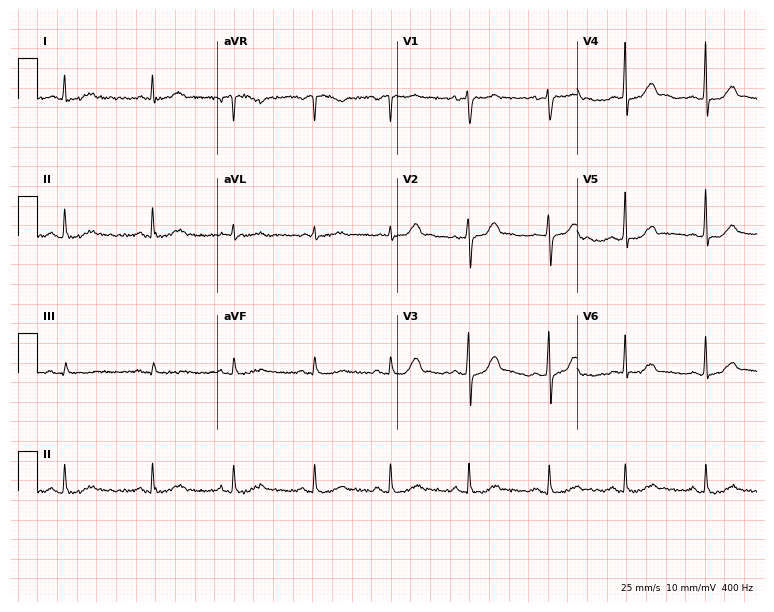
ECG — a female patient, 28 years old. Labelled as a normal ECG.